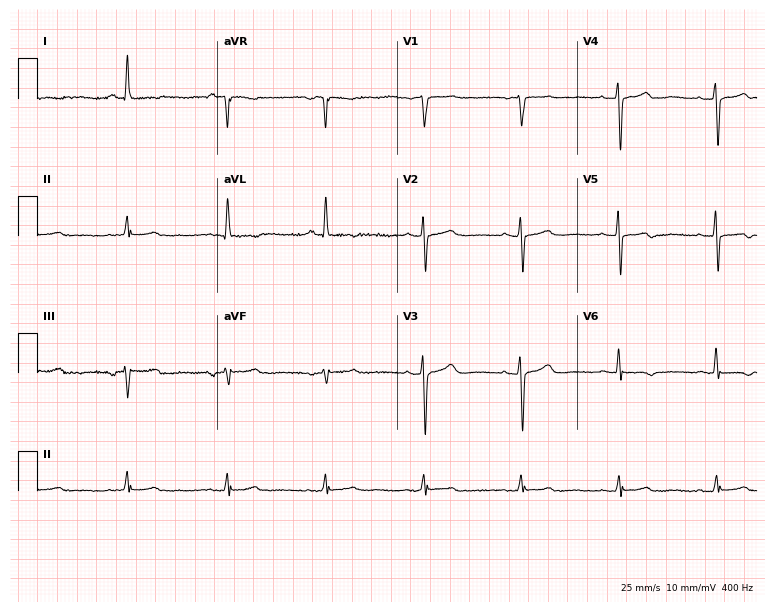
12-lead ECG from a 64-year-old female patient. No first-degree AV block, right bundle branch block, left bundle branch block, sinus bradycardia, atrial fibrillation or sinus tachycardia recorded for this tracing. Other findings, if any, are not listed.